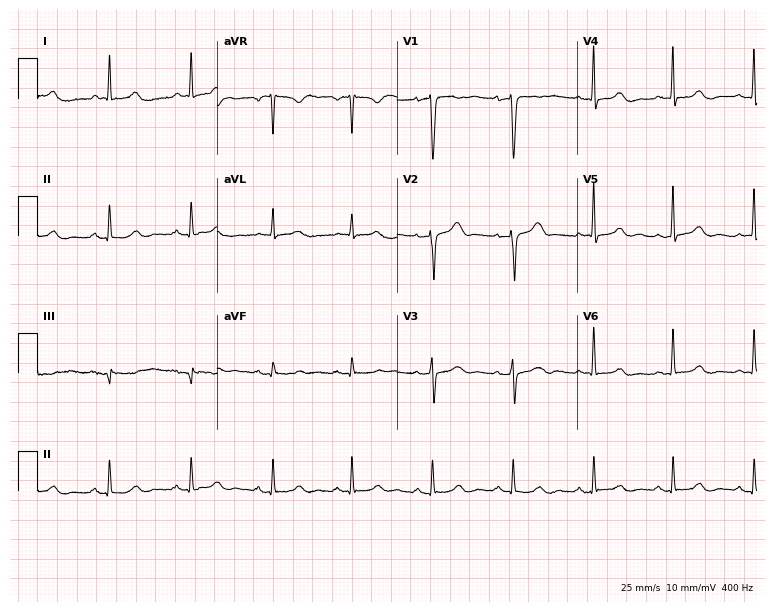
12-lead ECG from a female, 75 years old. Labelled as a normal ECG.